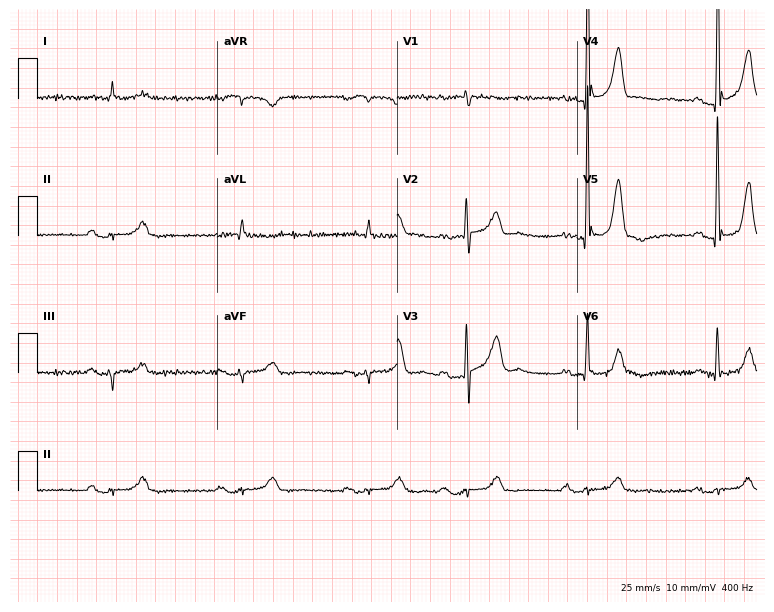
Resting 12-lead electrocardiogram. Patient: a male, 75 years old. None of these six findings is recorded: first-degree AV block, right bundle branch block, left bundle branch block, sinus bradycardia, atrial fibrillation, sinus tachycardia.